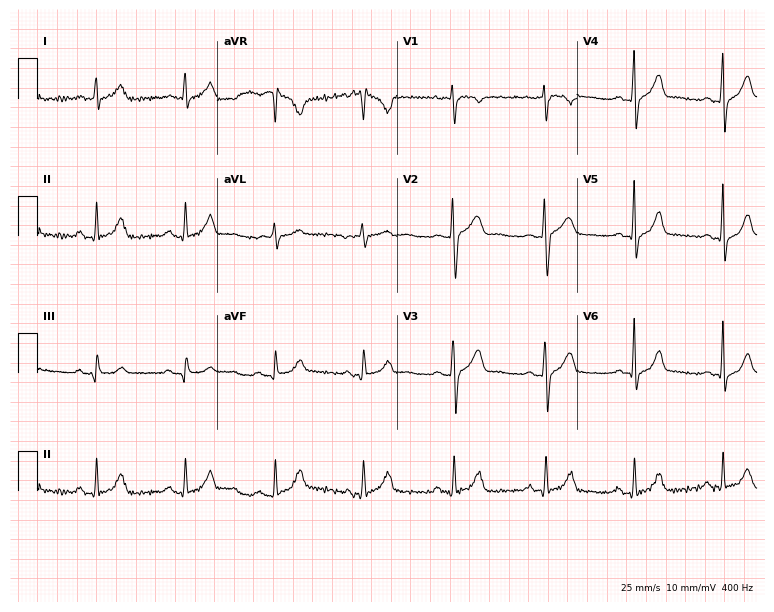
Resting 12-lead electrocardiogram (7.3-second recording at 400 Hz). Patient: a 57-year-old male. Read as a normal ECG.